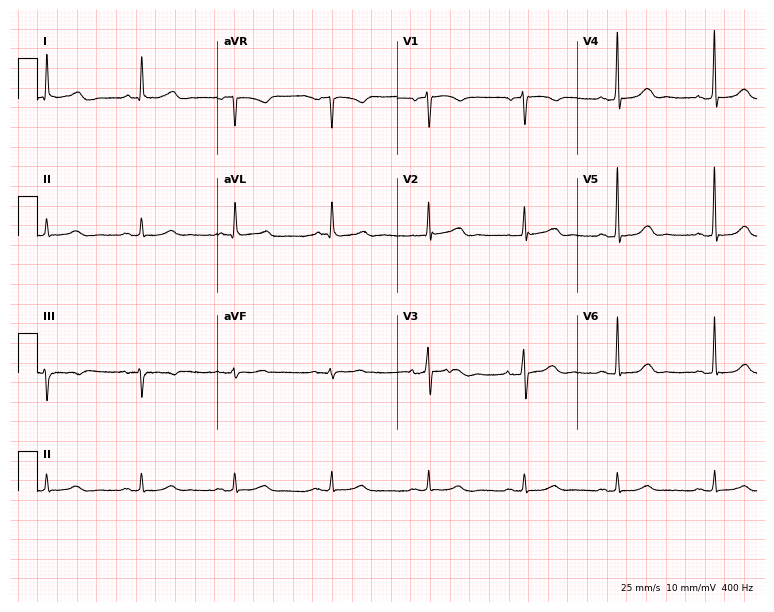
Electrocardiogram, a woman, 74 years old. Overall reading on record: normal ECG.